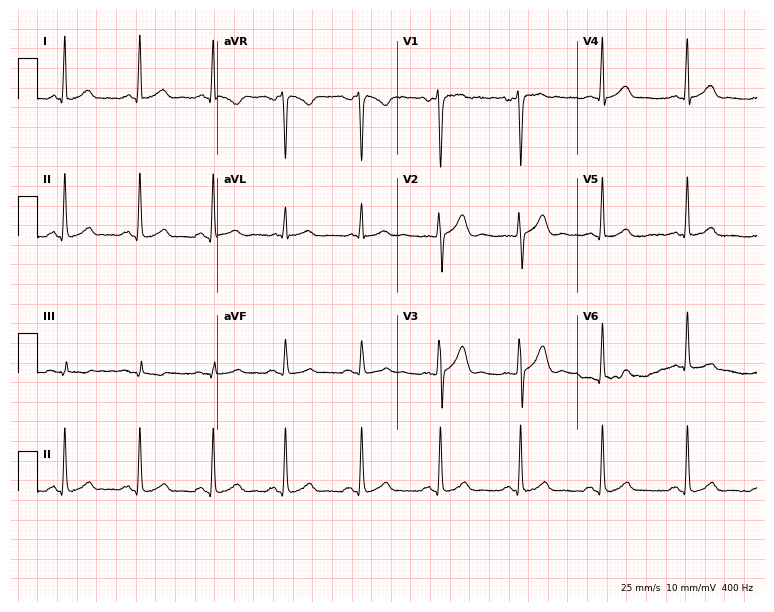
12-lead ECG from a male, 38 years old. Labelled as a normal ECG.